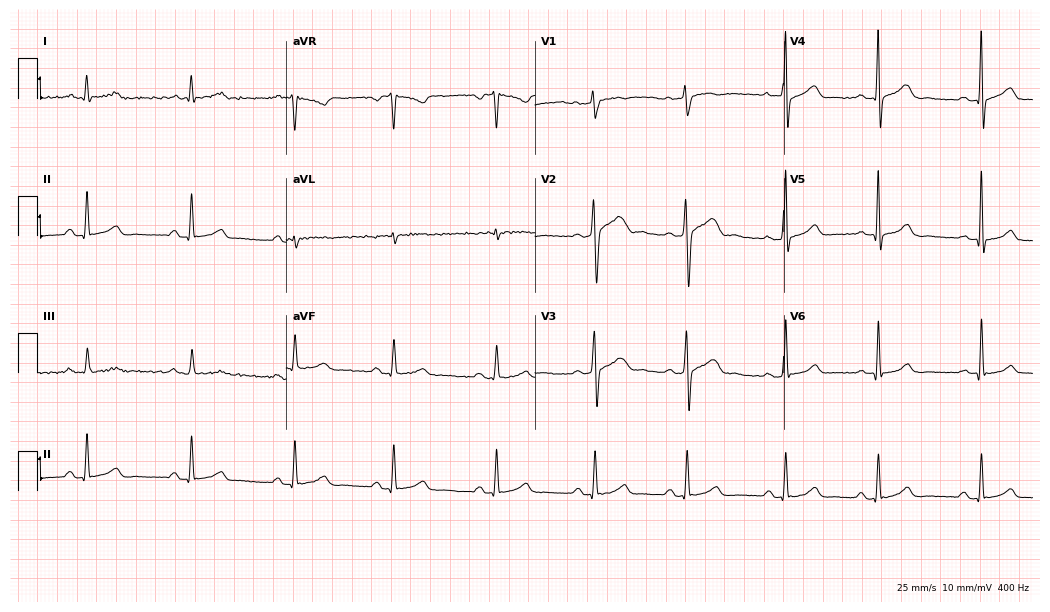
12-lead ECG (10.1-second recording at 400 Hz) from a male patient, 50 years old. Labelled as a normal ECG.